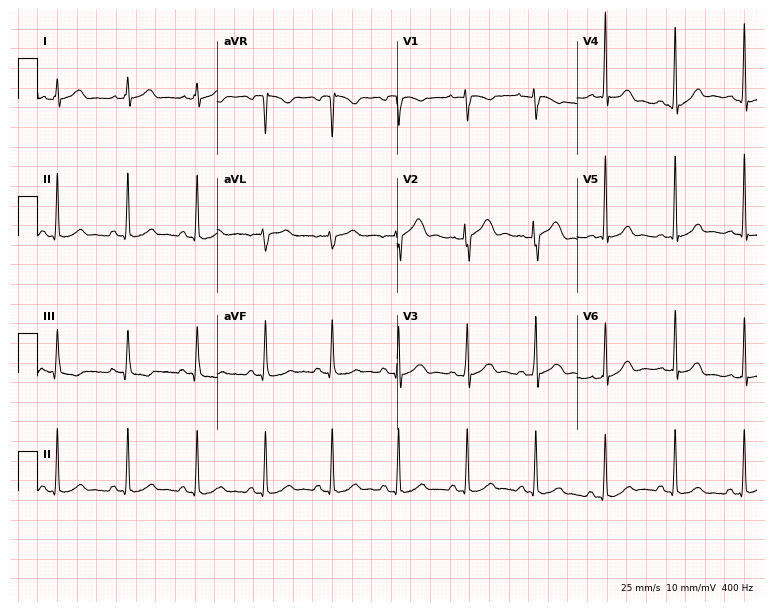
12-lead ECG from a 33-year-old female patient. Recorded interpretation: within normal limits.